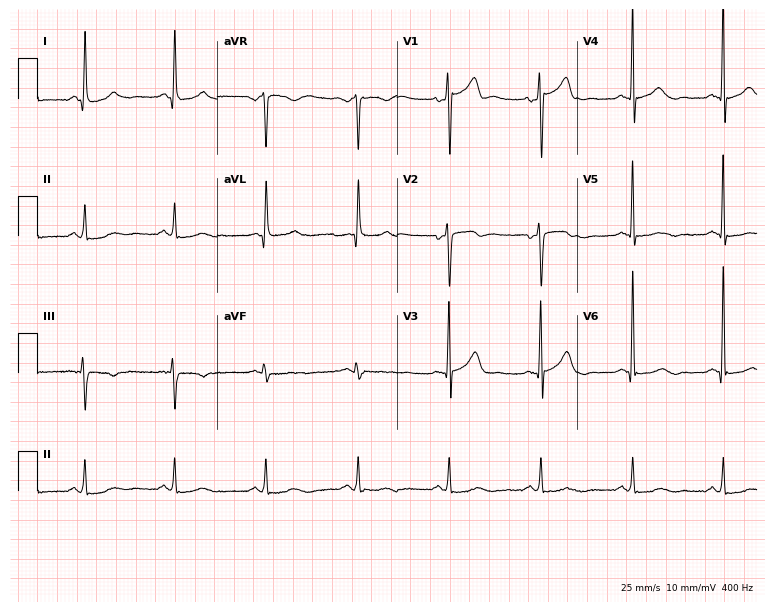
12-lead ECG from a 59-year-old male patient. Labelled as a normal ECG.